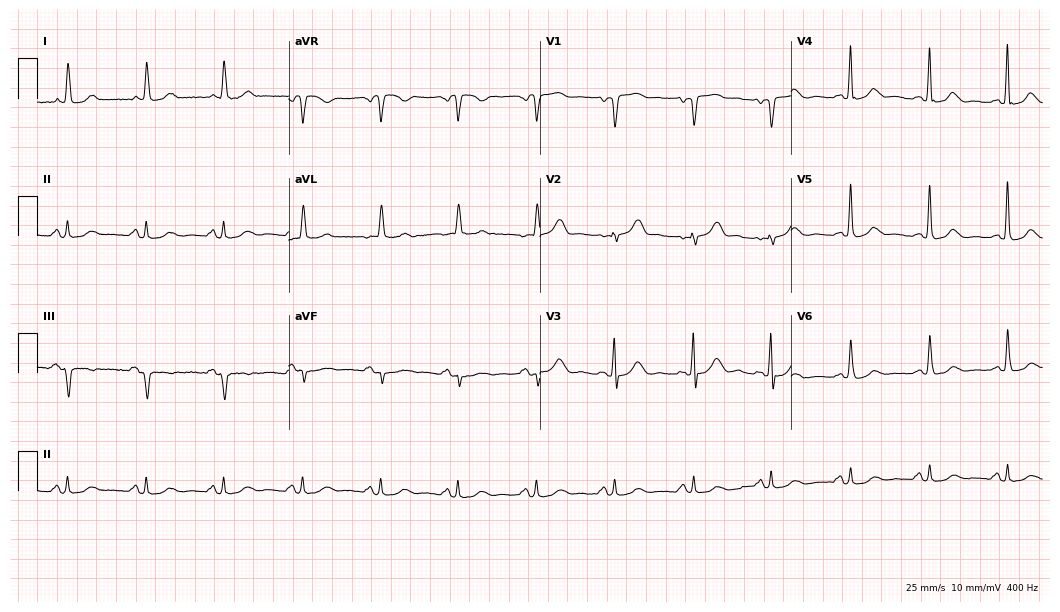
Electrocardiogram (10.2-second recording at 400 Hz), a 71-year-old female. Of the six screened findings (first-degree AV block, right bundle branch block (RBBB), left bundle branch block (LBBB), sinus bradycardia, atrial fibrillation (AF), sinus tachycardia), none is recorded. Other findings, if any, are not listed.